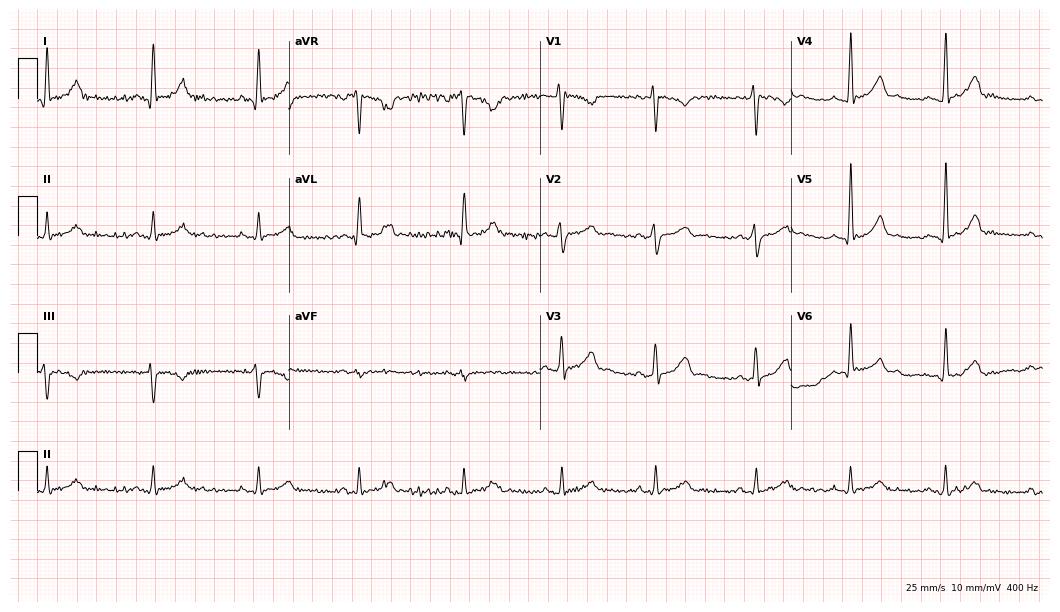
ECG — a female patient, 30 years old. Screened for six findings — first-degree AV block, right bundle branch block, left bundle branch block, sinus bradycardia, atrial fibrillation, sinus tachycardia — none is recorded. Other findings, if any, are not listed.